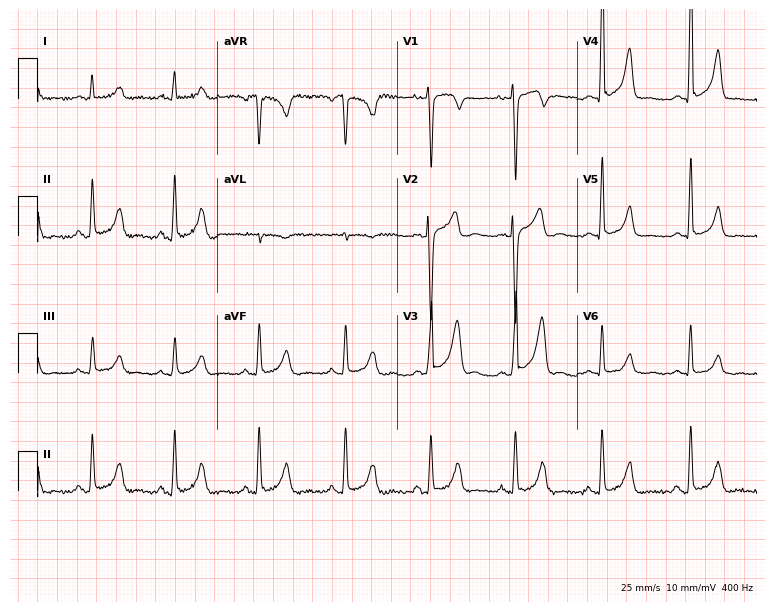
12-lead ECG from a man, 31 years old. Recorded interpretation: within normal limits.